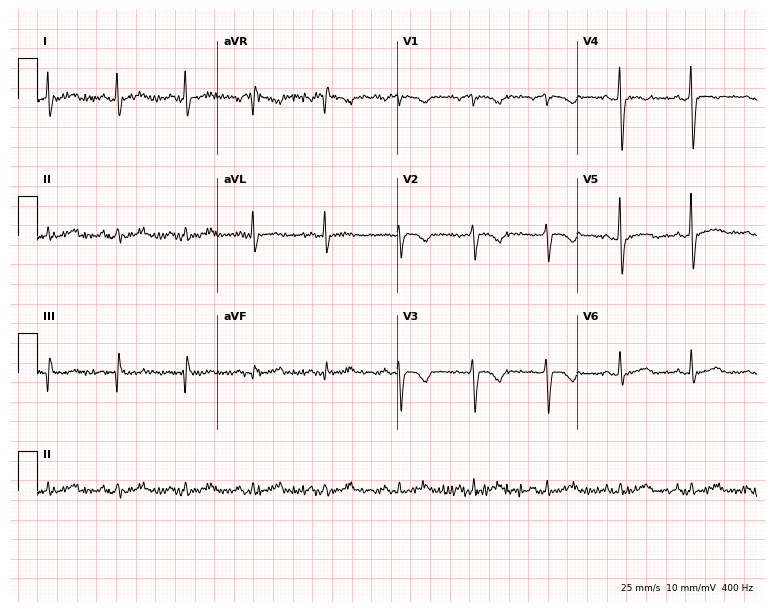
Resting 12-lead electrocardiogram (7.3-second recording at 400 Hz). Patient: a female, 49 years old. None of these six findings is recorded: first-degree AV block, right bundle branch block, left bundle branch block, sinus bradycardia, atrial fibrillation, sinus tachycardia.